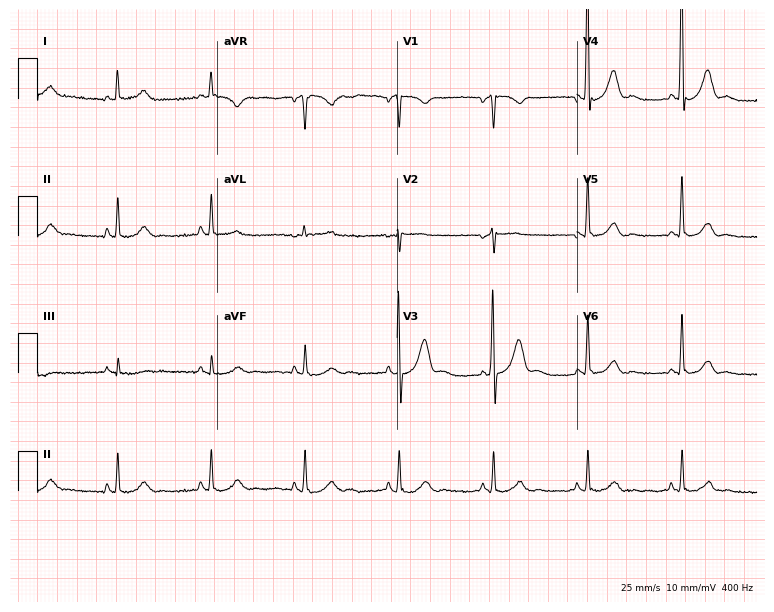
ECG (7.3-second recording at 400 Hz) — a man, 67 years old. Screened for six findings — first-degree AV block, right bundle branch block, left bundle branch block, sinus bradycardia, atrial fibrillation, sinus tachycardia — none is recorded. Other findings, if any, are not listed.